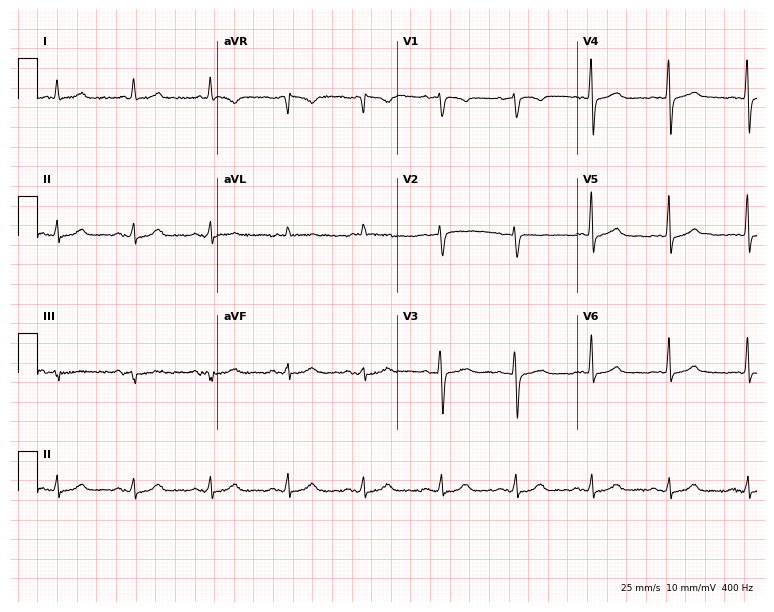
12-lead ECG from a female patient, 68 years old (7.3-second recording at 400 Hz). No first-degree AV block, right bundle branch block, left bundle branch block, sinus bradycardia, atrial fibrillation or sinus tachycardia recorded for this tracing.